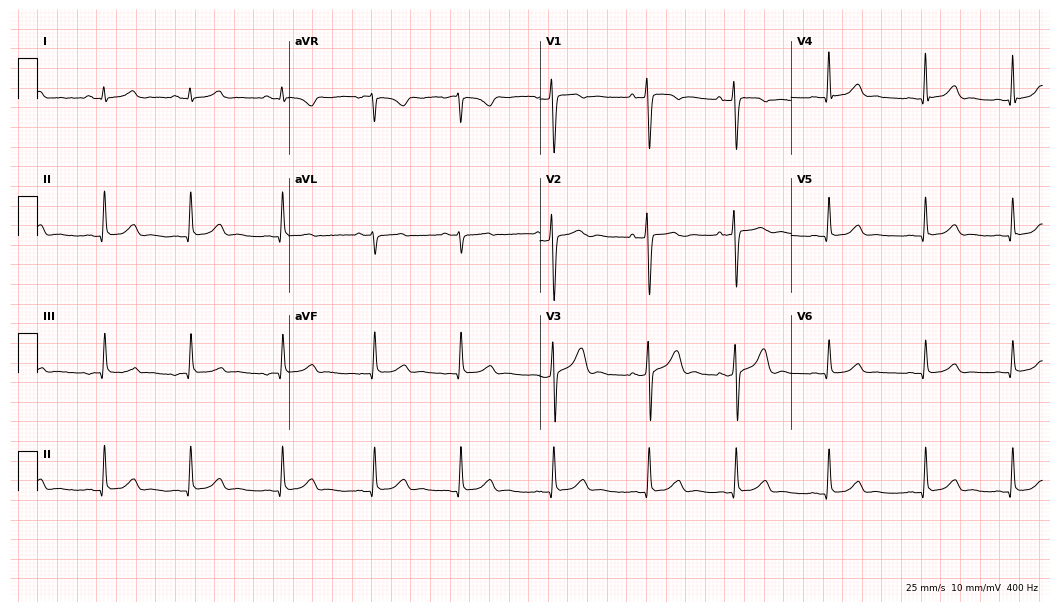
ECG — a 25-year-old female patient. Screened for six findings — first-degree AV block, right bundle branch block (RBBB), left bundle branch block (LBBB), sinus bradycardia, atrial fibrillation (AF), sinus tachycardia — none is recorded.